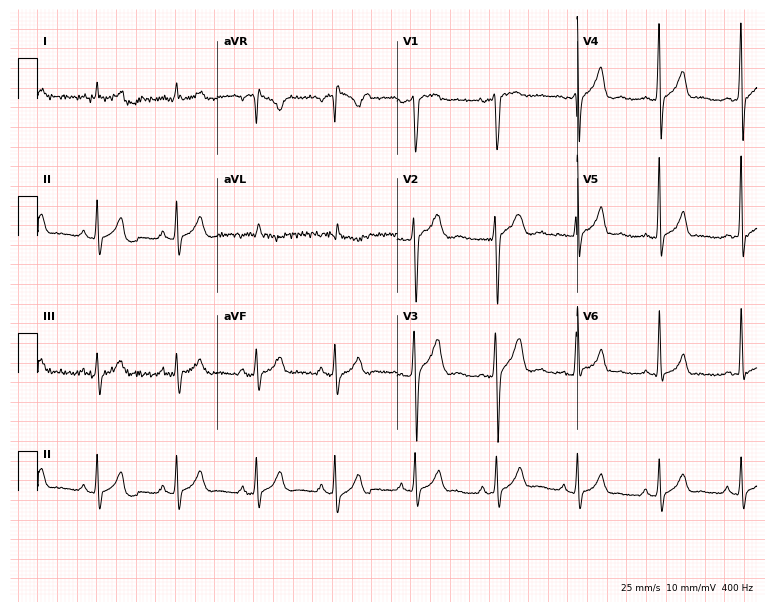
12-lead ECG from a 29-year-old man. Screened for six findings — first-degree AV block, right bundle branch block, left bundle branch block, sinus bradycardia, atrial fibrillation, sinus tachycardia — none is recorded. Findings outside these six are not listed.